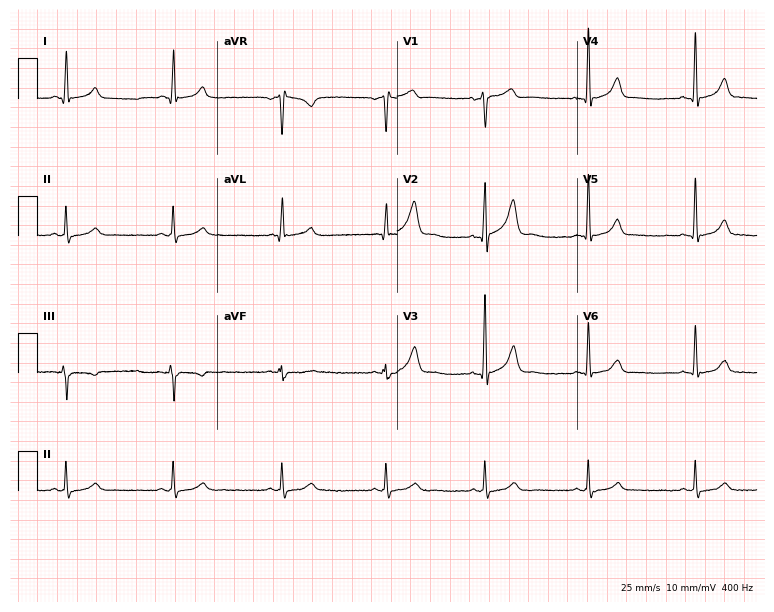
Electrocardiogram, a male, 41 years old. Overall reading on record: normal ECG.